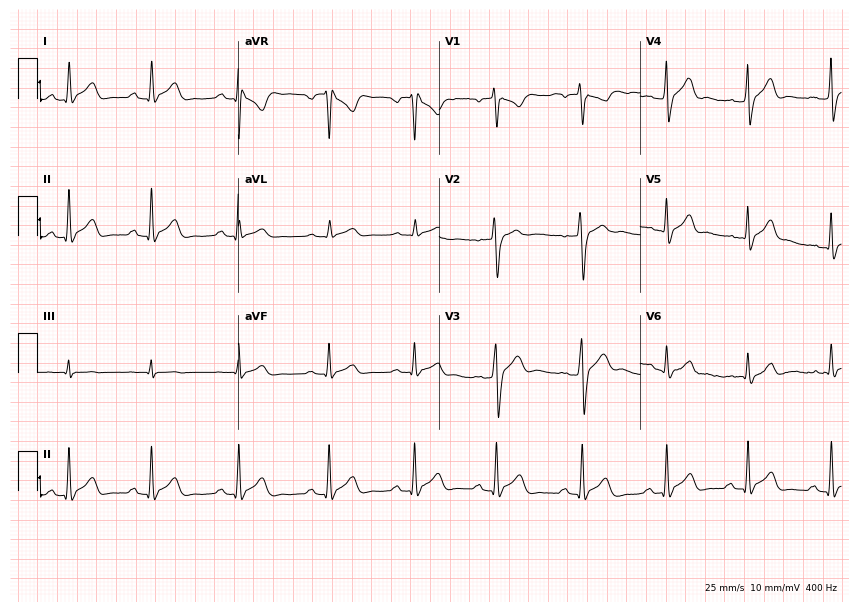
12-lead ECG (8.2-second recording at 400 Hz) from a man, 25 years old. Labelled as a normal ECG.